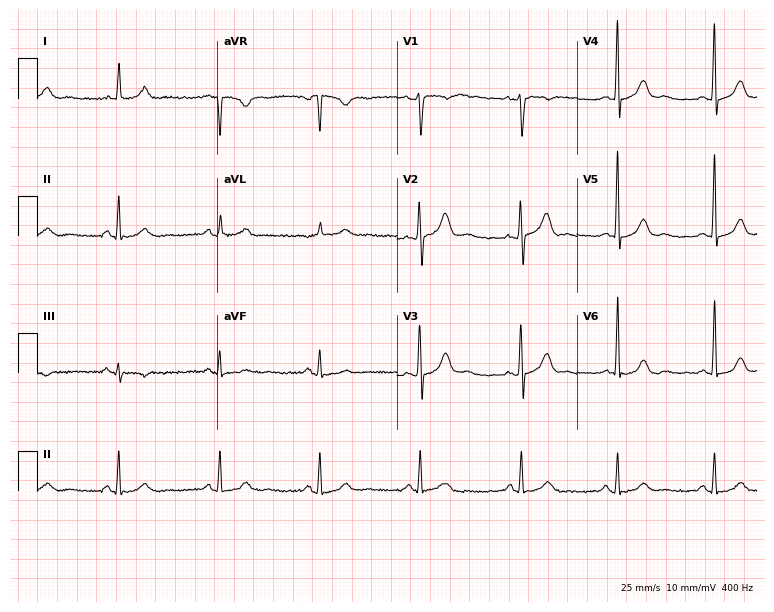
Electrocardiogram (7.3-second recording at 400 Hz), a female, 48 years old. Of the six screened findings (first-degree AV block, right bundle branch block (RBBB), left bundle branch block (LBBB), sinus bradycardia, atrial fibrillation (AF), sinus tachycardia), none is recorded.